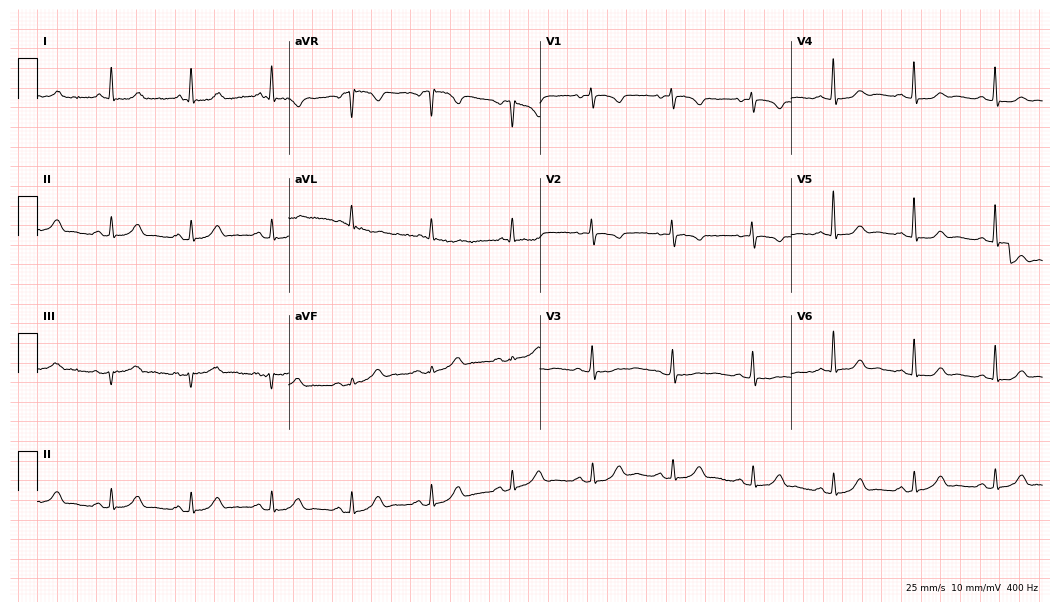
Standard 12-lead ECG recorded from a 72-year-old woman (10.2-second recording at 400 Hz). Read as a normal ECG.